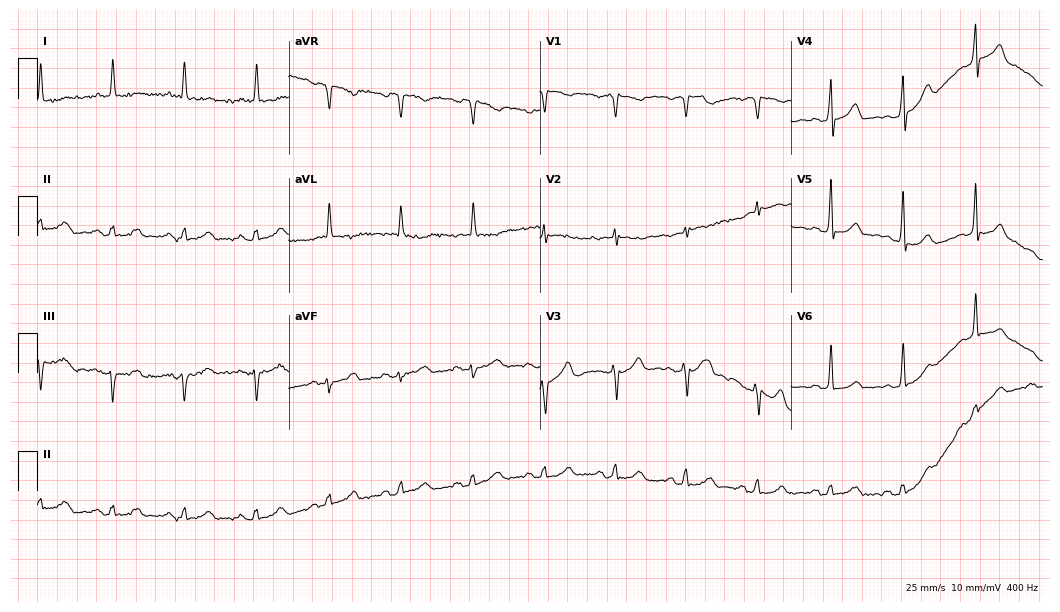
Electrocardiogram (10.2-second recording at 400 Hz), a female patient, 71 years old. Of the six screened findings (first-degree AV block, right bundle branch block, left bundle branch block, sinus bradycardia, atrial fibrillation, sinus tachycardia), none is recorded.